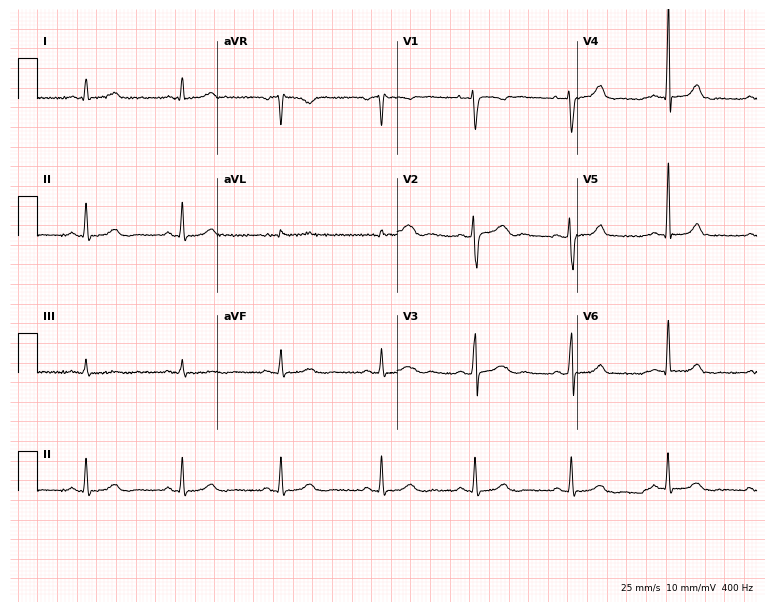
Resting 12-lead electrocardiogram. Patient: a woman, 34 years old. None of these six findings is recorded: first-degree AV block, right bundle branch block (RBBB), left bundle branch block (LBBB), sinus bradycardia, atrial fibrillation (AF), sinus tachycardia. Other findings, if any, are not listed.